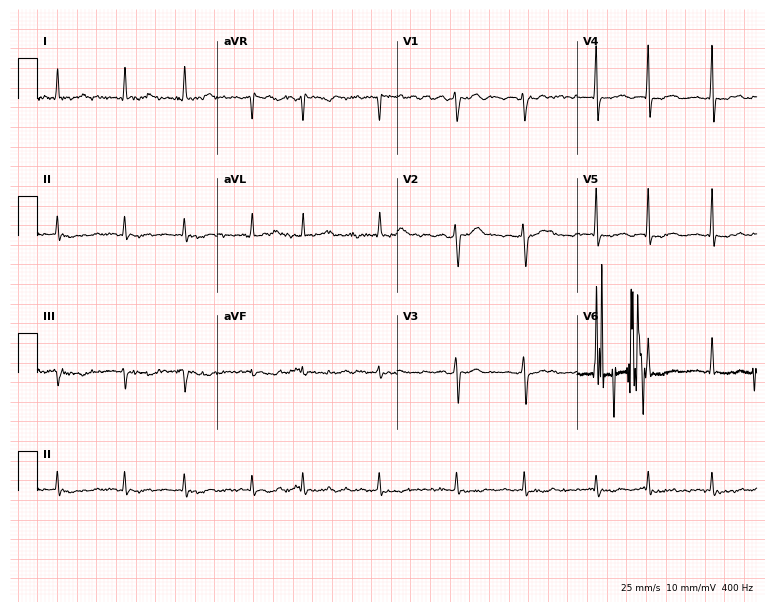
Electrocardiogram, a woman, 64 years old. Interpretation includes atrial fibrillation.